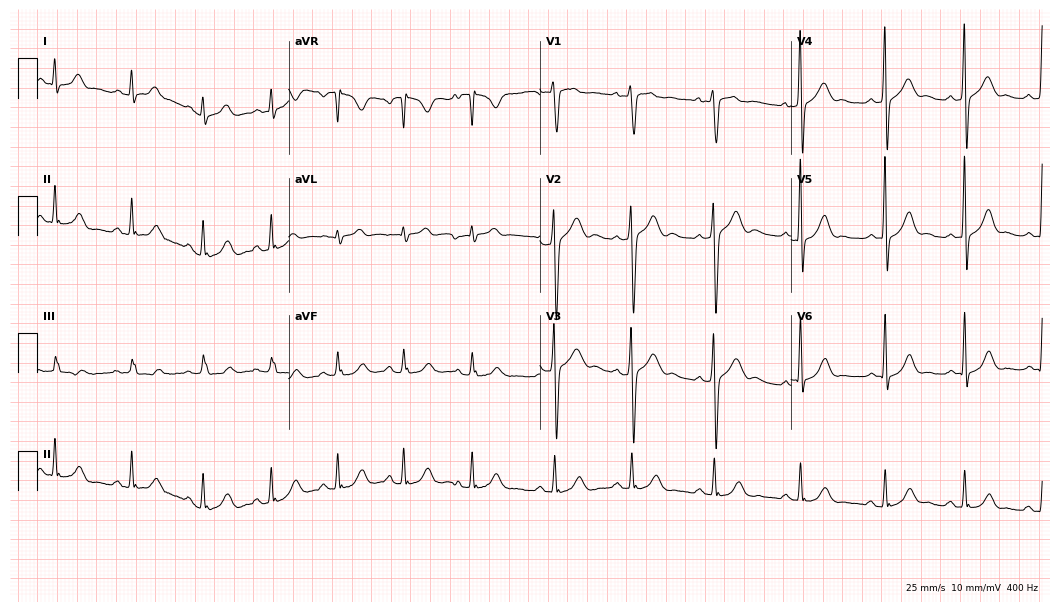
12-lead ECG (10.2-second recording at 400 Hz) from a man, 26 years old. Screened for six findings — first-degree AV block, right bundle branch block, left bundle branch block, sinus bradycardia, atrial fibrillation, sinus tachycardia — none is recorded. Other findings, if any, are not listed.